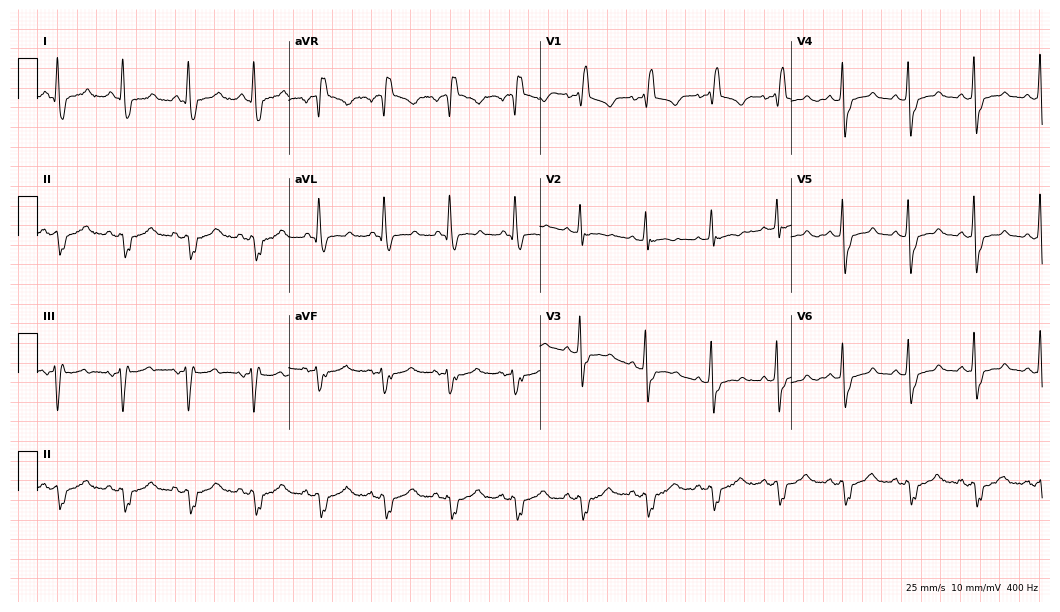
Electrocardiogram (10.2-second recording at 400 Hz), a female, 65 years old. Interpretation includes right bundle branch block.